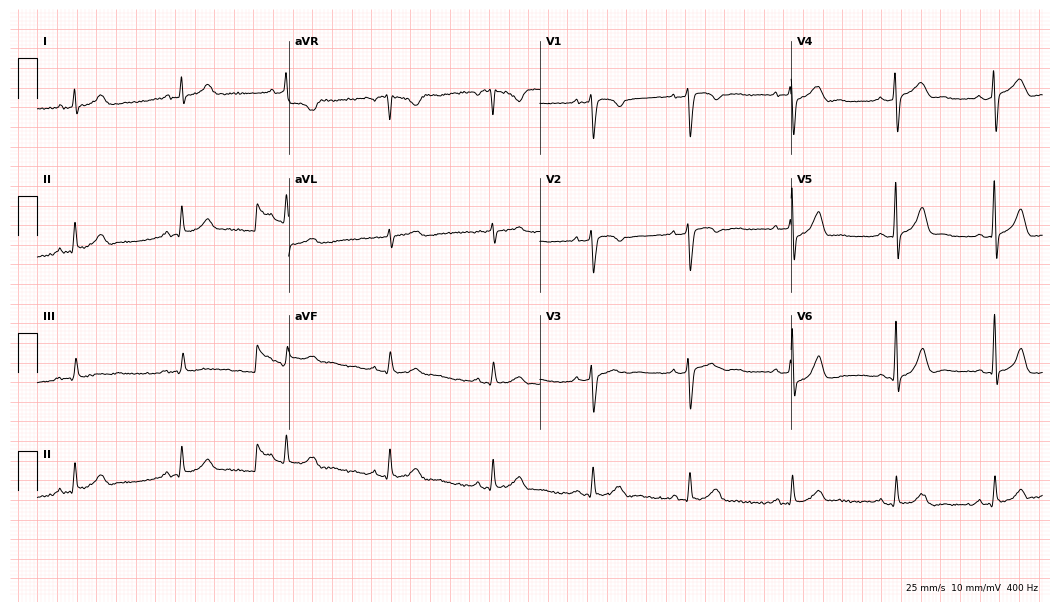
Resting 12-lead electrocardiogram (10.2-second recording at 400 Hz). Patient: a man, 45 years old. None of these six findings is recorded: first-degree AV block, right bundle branch block (RBBB), left bundle branch block (LBBB), sinus bradycardia, atrial fibrillation (AF), sinus tachycardia. Other findings, if any, are not listed.